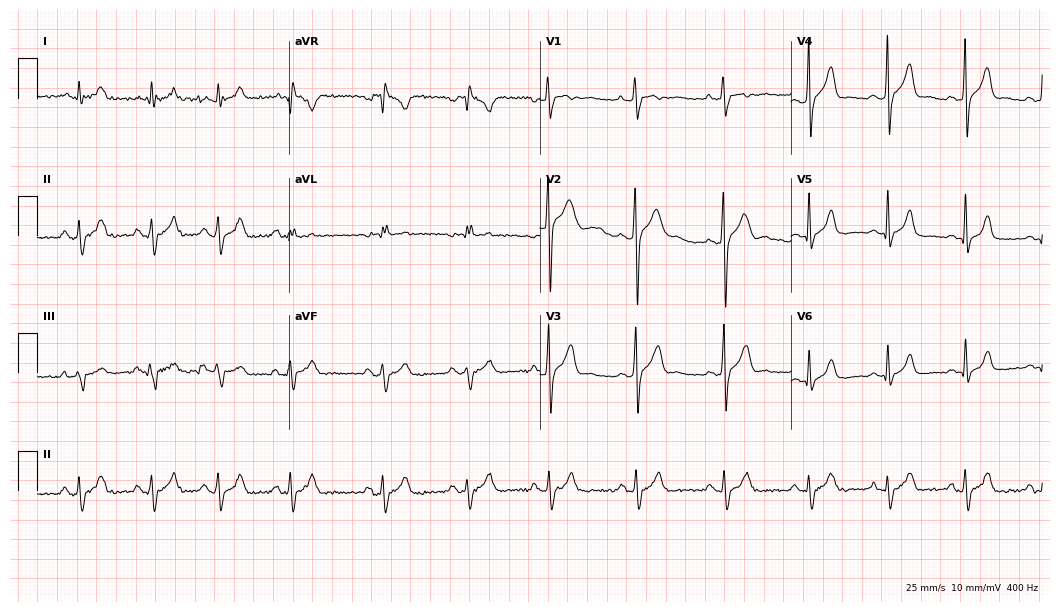
12-lead ECG from a male patient, 30 years old. No first-degree AV block, right bundle branch block, left bundle branch block, sinus bradycardia, atrial fibrillation or sinus tachycardia recorded for this tracing. Other findings, if any, are not listed.